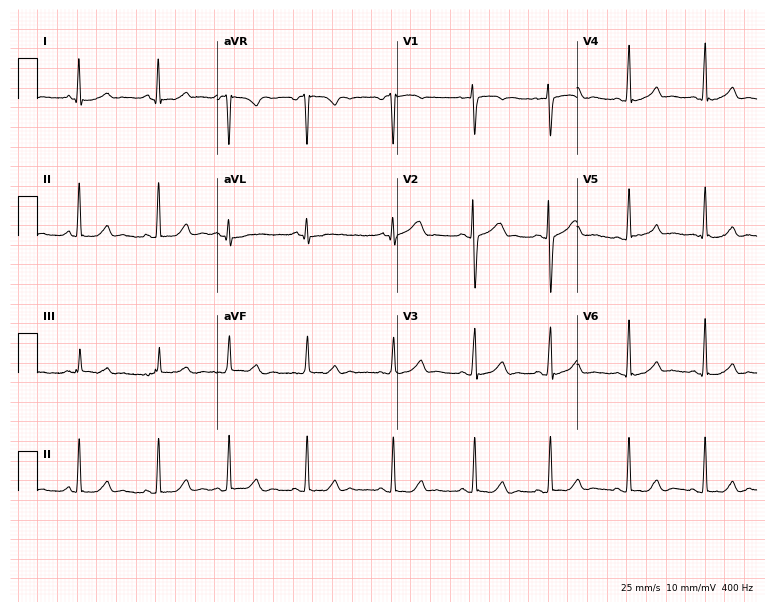
12-lead ECG from a male patient, 17 years old. Labelled as a normal ECG.